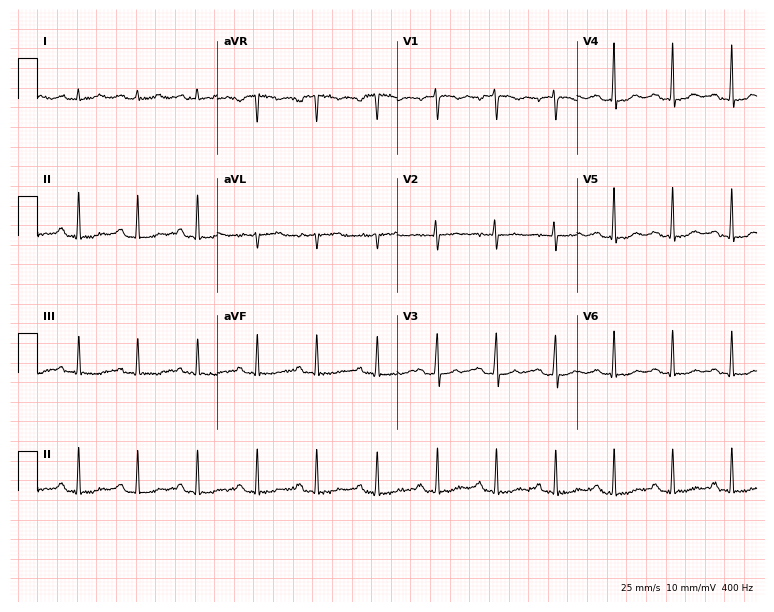
Standard 12-lead ECG recorded from a woman, 19 years old (7.3-second recording at 400 Hz). None of these six findings is recorded: first-degree AV block, right bundle branch block (RBBB), left bundle branch block (LBBB), sinus bradycardia, atrial fibrillation (AF), sinus tachycardia. Findings outside these six are not listed.